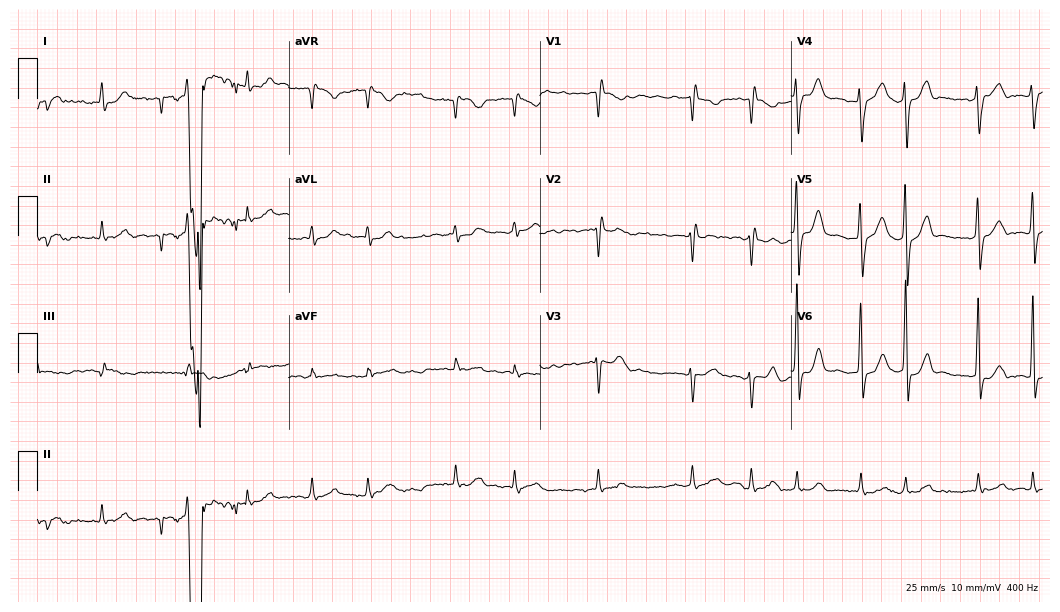
Electrocardiogram (10.2-second recording at 400 Hz), a 69-year-old man. Of the six screened findings (first-degree AV block, right bundle branch block, left bundle branch block, sinus bradycardia, atrial fibrillation, sinus tachycardia), none is recorded.